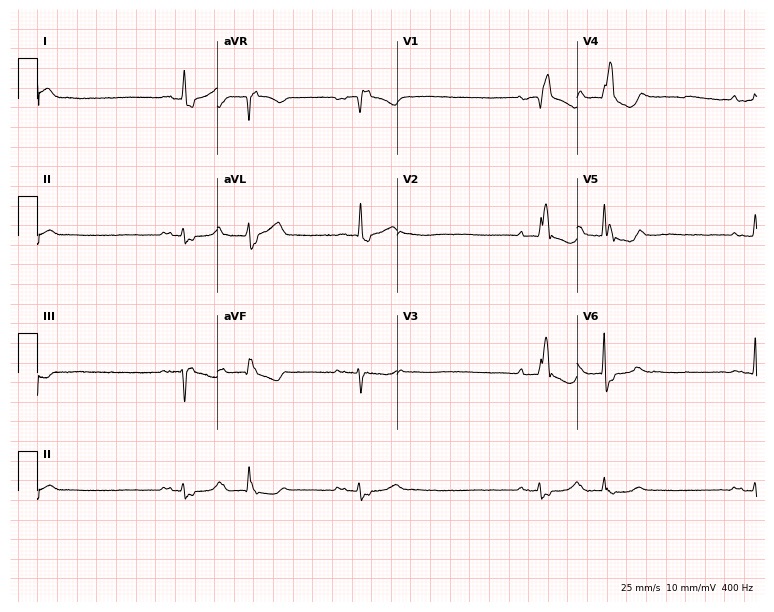
Electrocardiogram, a male, 76 years old. Of the six screened findings (first-degree AV block, right bundle branch block, left bundle branch block, sinus bradycardia, atrial fibrillation, sinus tachycardia), none is recorded.